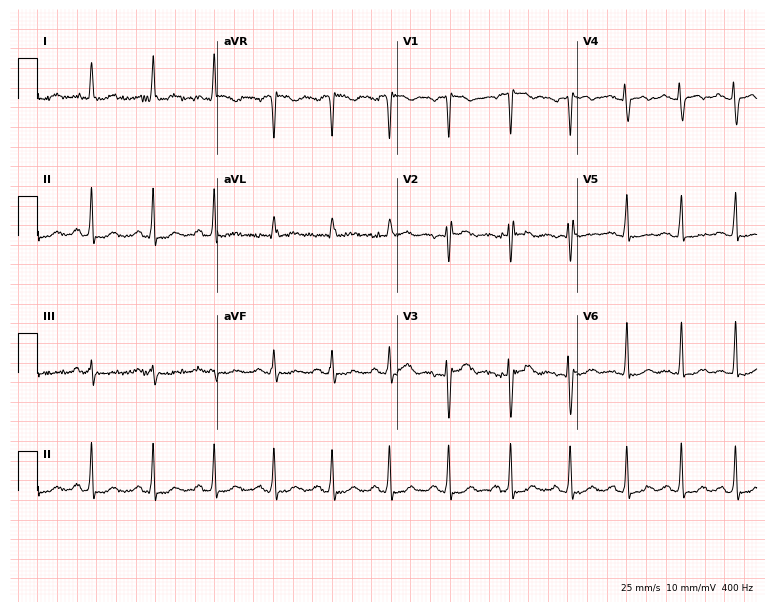
Electrocardiogram, a 22-year-old female. Overall reading on record: normal ECG.